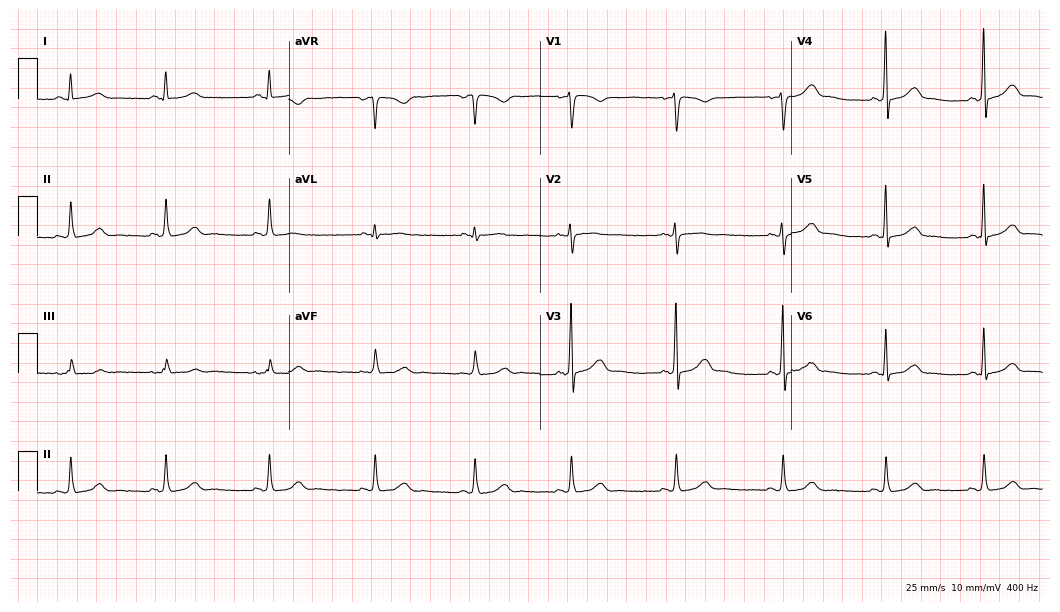
12-lead ECG from a woman, 19 years old. Screened for six findings — first-degree AV block, right bundle branch block, left bundle branch block, sinus bradycardia, atrial fibrillation, sinus tachycardia — none is recorded. Other findings, if any, are not listed.